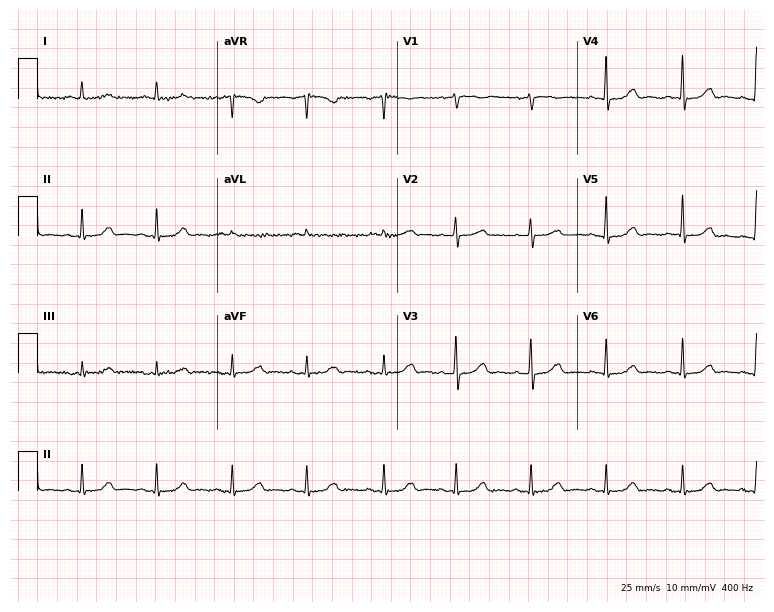
12-lead ECG from a 77-year-old female (7.3-second recording at 400 Hz). No first-degree AV block, right bundle branch block, left bundle branch block, sinus bradycardia, atrial fibrillation or sinus tachycardia recorded for this tracing. Only these six findings were labelled.